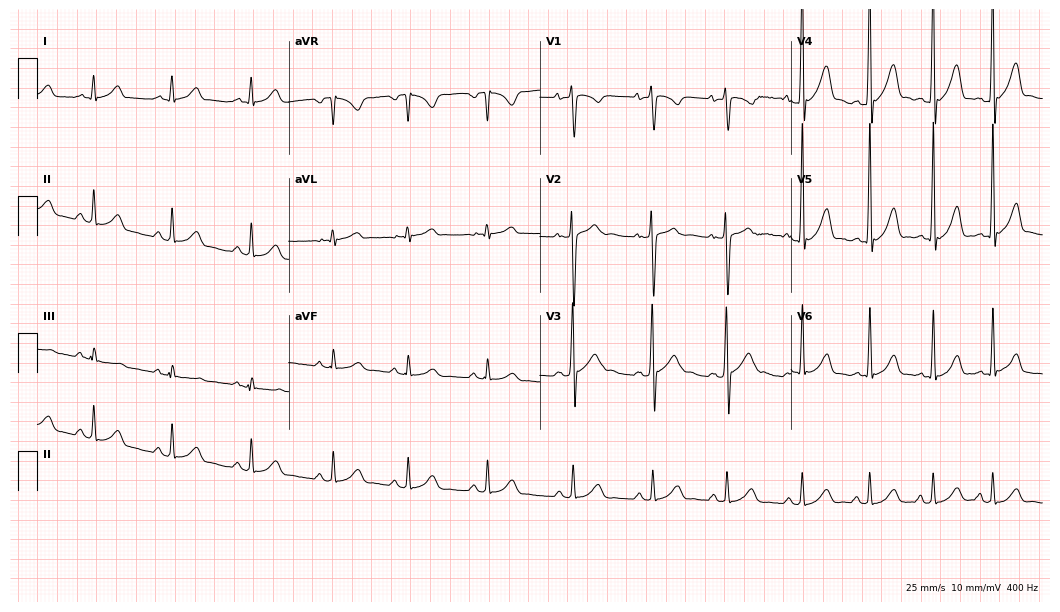
ECG (10.2-second recording at 400 Hz) — a 17-year-old male patient. Labelled as a normal ECG.